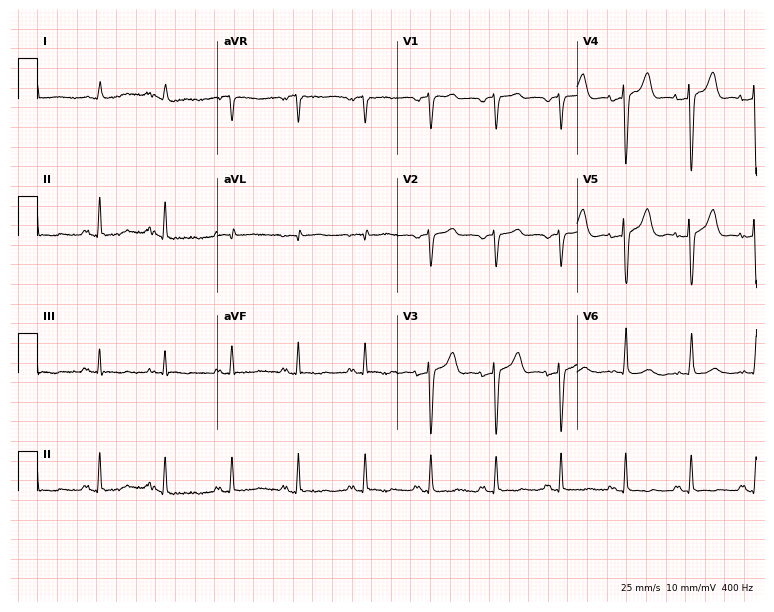
12-lead ECG from an 81-year-old man (7.3-second recording at 400 Hz). No first-degree AV block, right bundle branch block, left bundle branch block, sinus bradycardia, atrial fibrillation or sinus tachycardia recorded for this tracing.